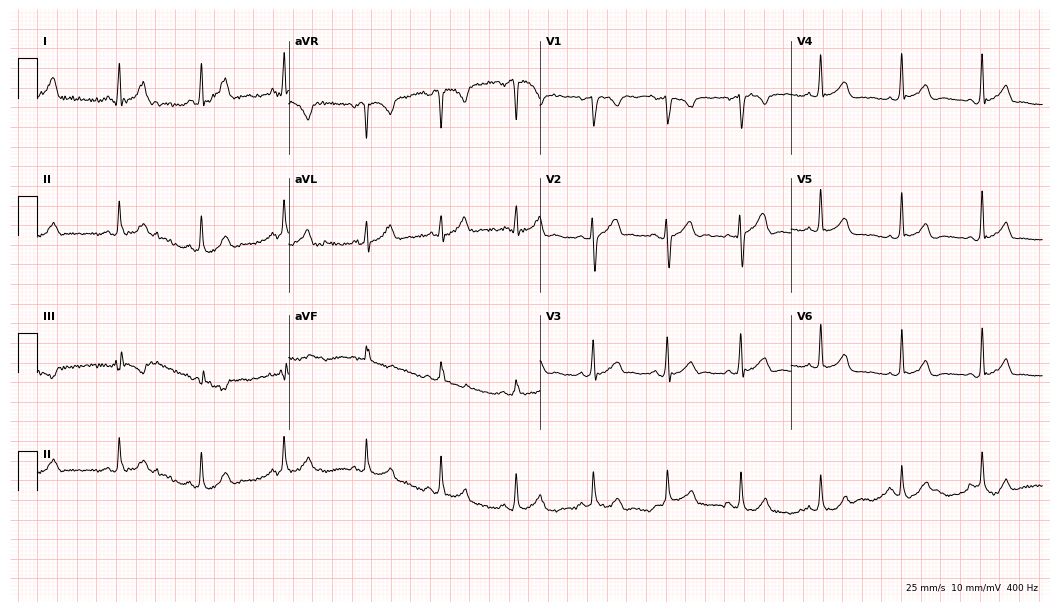
12-lead ECG from a 17-year-old male patient. No first-degree AV block, right bundle branch block (RBBB), left bundle branch block (LBBB), sinus bradycardia, atrial fibrillation (AF) or sinus tachycardia recorded for this tracing.